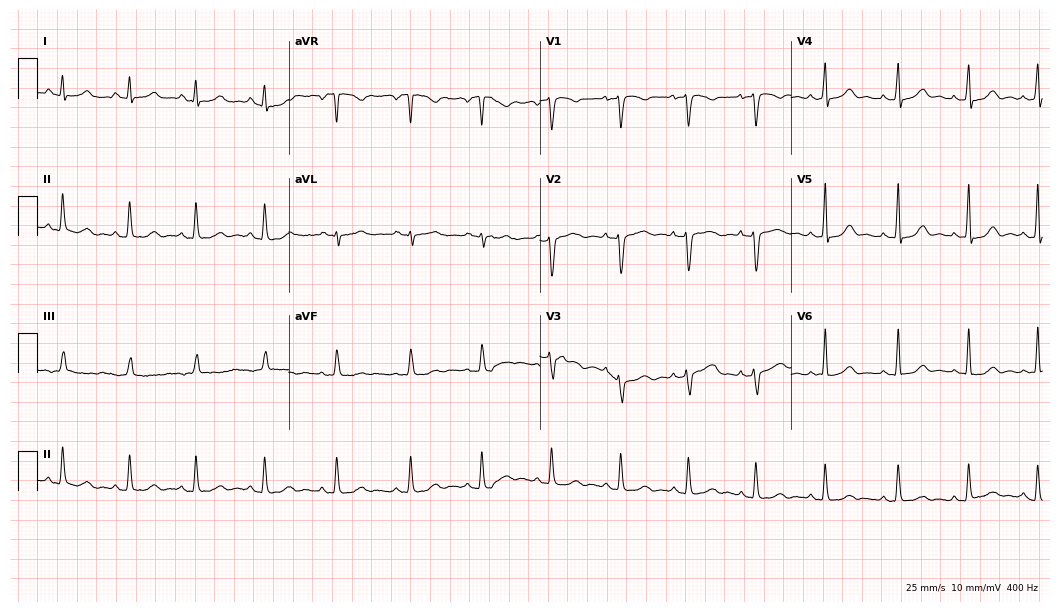
12-lead ECG from a 31-year-old woman (10.2-second recording at 400 Hz). No first-degree AV block, right bundle branch block (RBBB), left bundle branch block (LBBB), sinus bradycardia, atrial fibrillation (AF) or sinus tachycardia recorded for this tracing.